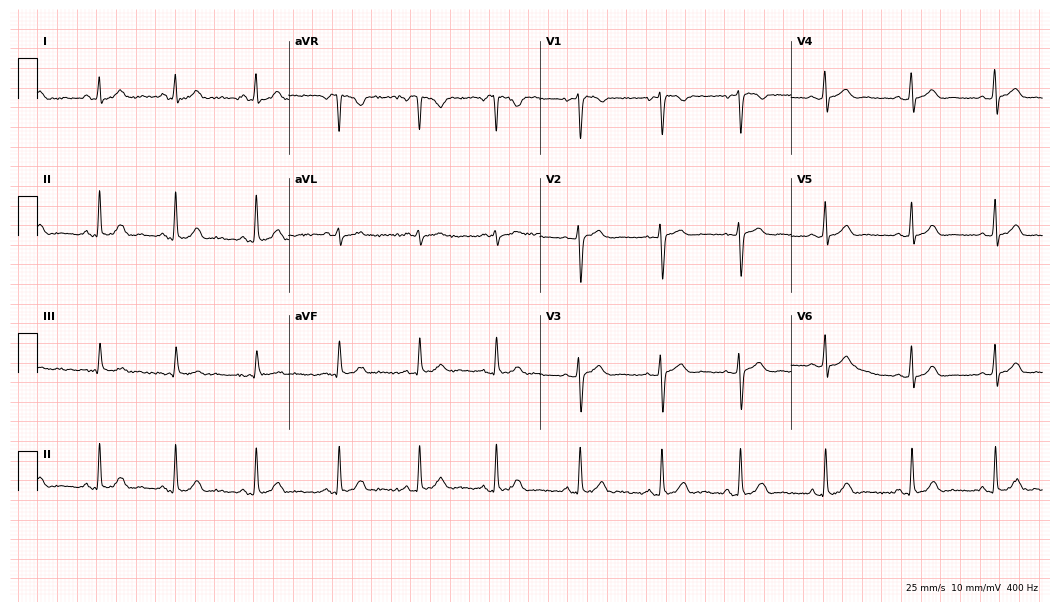
12-lead ECG from a 24-year-old female patient. Recorded interpretation: within normal limits.